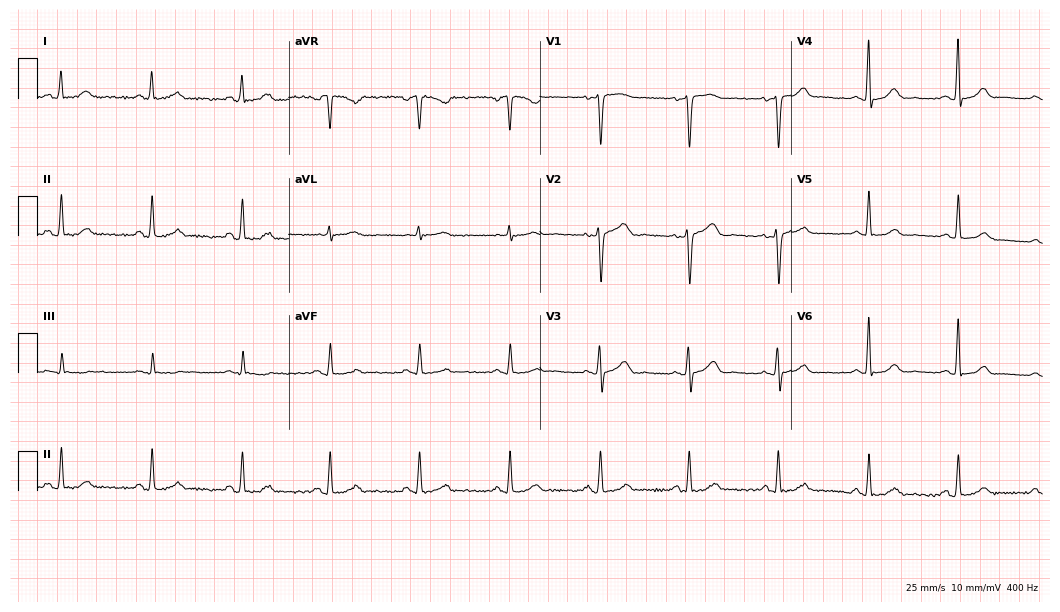
Resting 12-lead electrocardiogram (10.2-second recording at 400 Hz). Patient: a female, 38 years old. None of these six findings is recorded: first-degree AV block, right bundle branch block, left bundle branch block, sinus bradycardia, atrial fibrillation, sinus tachycardia.